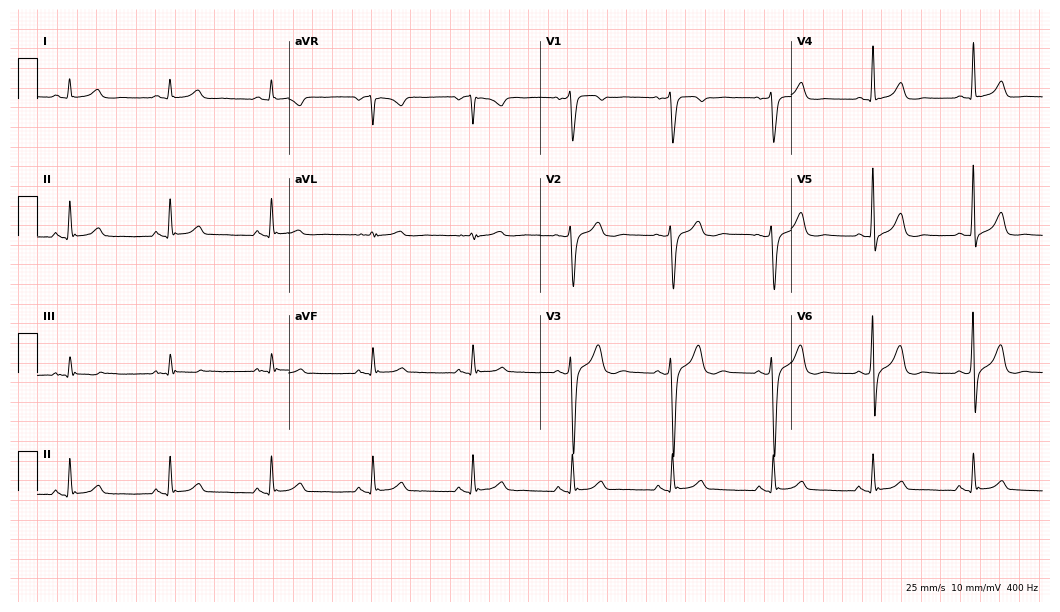
Standard 12-lead ECG recorded from a man, 38 years old. None of these six findings is recorded: first-degree AV block, right bundle branch block (RBBB), left bundle branch block (LBBB), sinus bradycardia, atrial fibrillation (AF), sinus tachycardia.